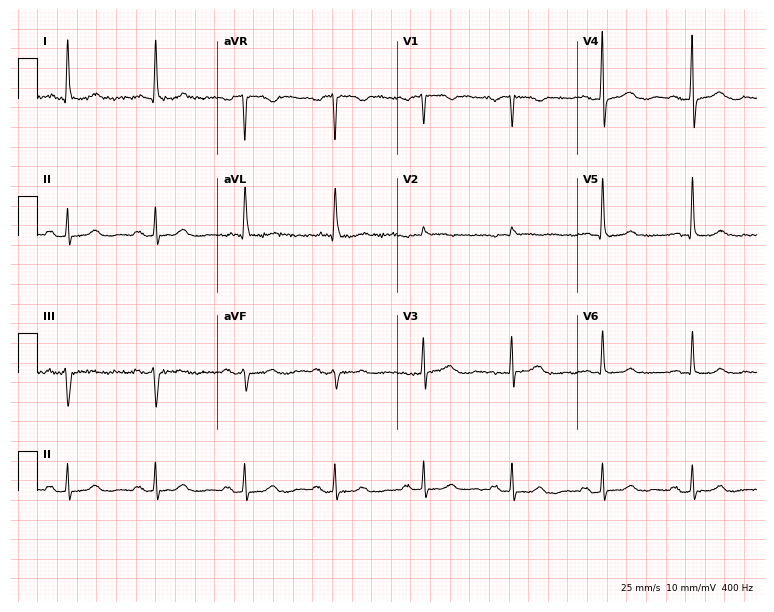
ECG (7.3-second recording at 400 Hz) — a female, 77 years old. Screened for six findings — first-degree AV block, right bundle branch block (RBBB), left bundle branch block (LBBB), sinus bradycardia, atrial fibrillation (AF), sinus tachycardia — none is recorded.